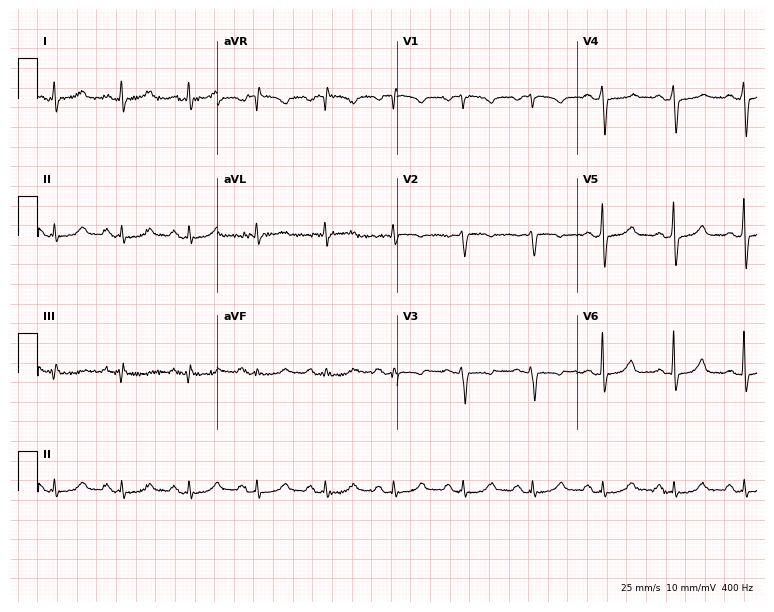
Resting 12-lead electrocardiogram (7.3-second recording at 400 Hz). Patient: a 55-year-old woman. None of these six findings is recorded: first-degree AV block, right bundle branch block (RBBB), left bundle branch block (LBBB), sinus bradycardia, atrial fibrillation (AF), sinus tachycardia. Findings outside these six are not listed.